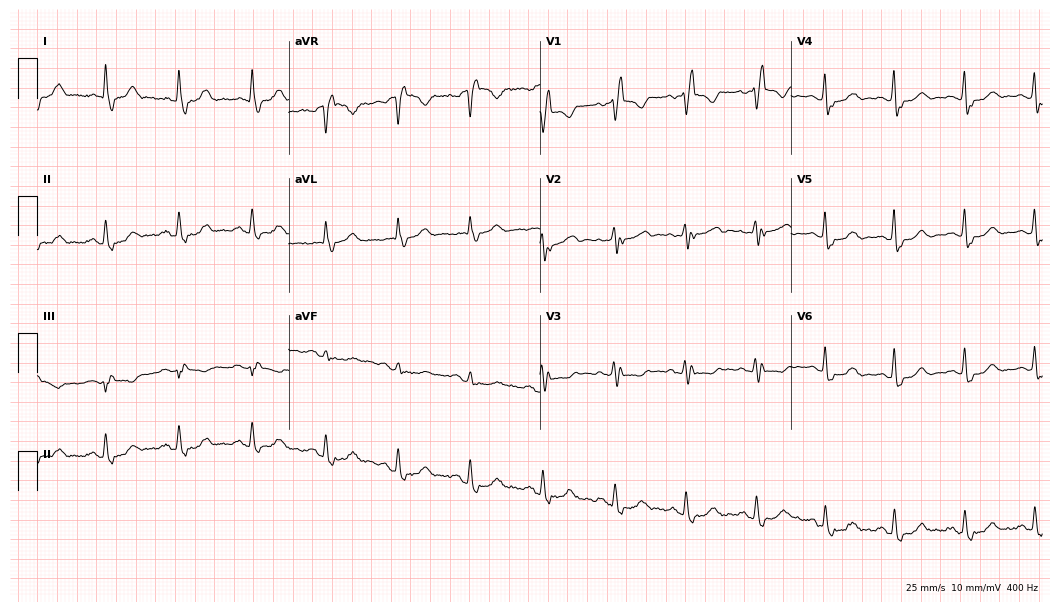
12-lead ECG from a 77-year-old female patient. Shows right bundle branch block.